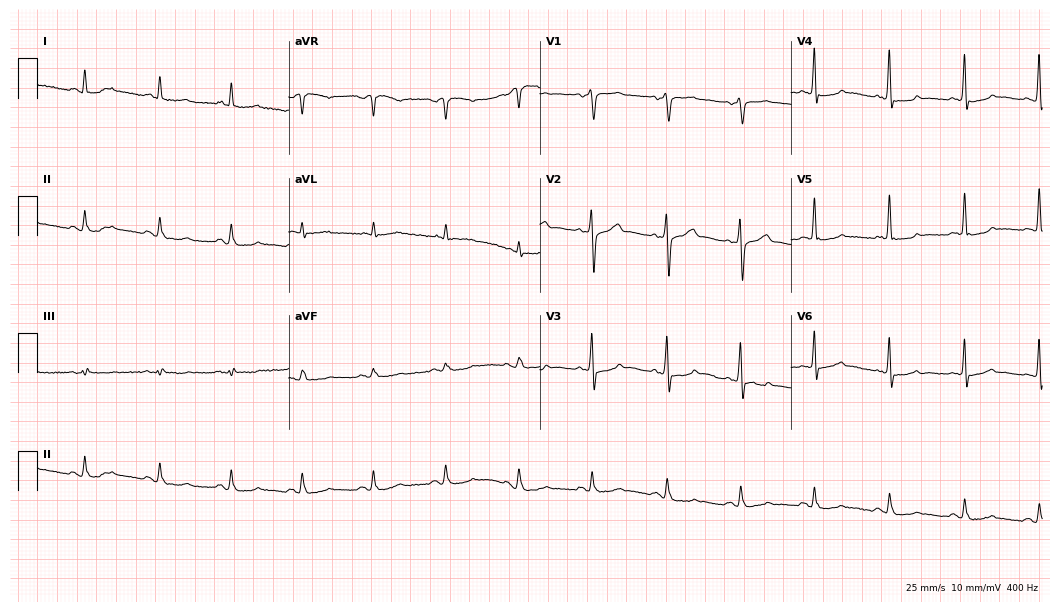
12-lead ECG from a male, 71 years old. Screened for six findings — first-degree AV block, right bundle branch block (RBBB), left bundle branch block (LBBB), sinus bradycardia, atrial fibrillation (AF), sinus tachycardia — none is recorded.